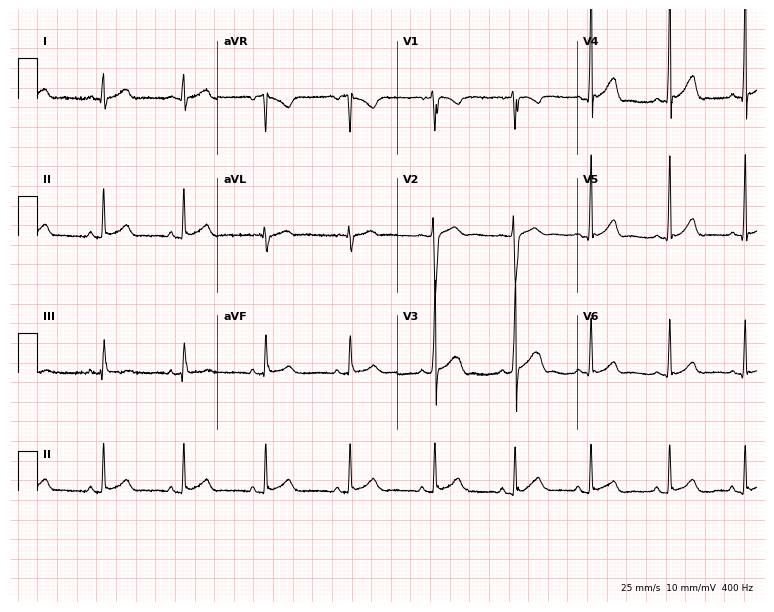
ECG — a male patient, 17 years old. Labelled as a normal ECG.